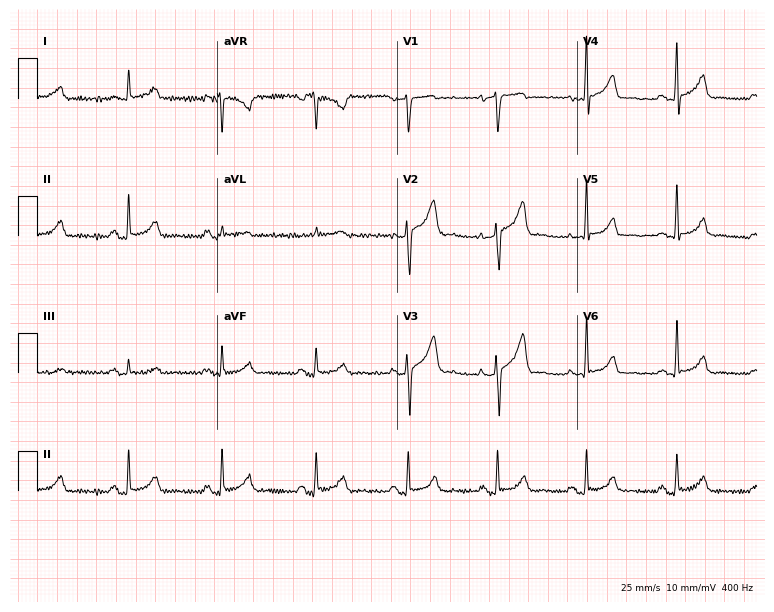
Resting 12-lead electrocardiogram. Patient: a 49-year-old woman. None of these six findings is recorded: first-degree AV block, right bundle branch block, left bundle branch block, sinus bradycardia, atrial fibrillation, sinus tachycardia.